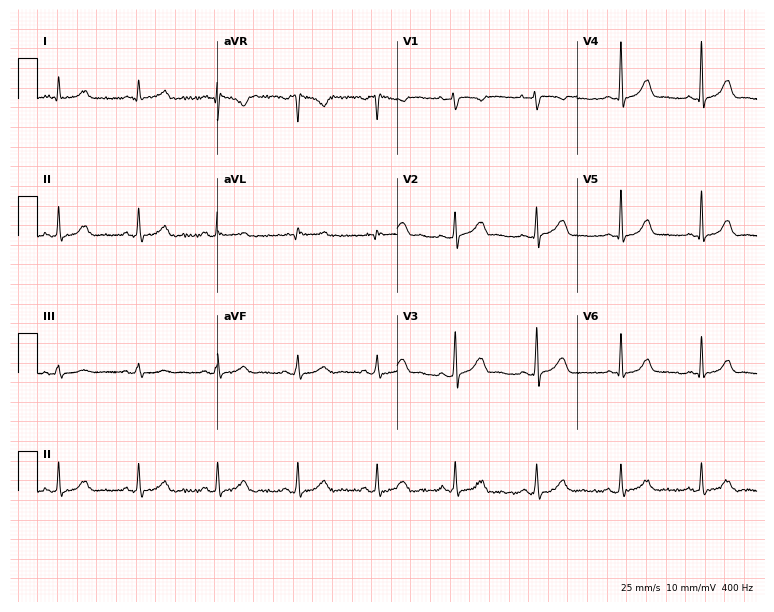
Standard 12-lead ECG recorded from a female, 42 years old (7.3-second recording at 400 Hz). None of these six findings is recorded: first-degree AV block, right bundle branch block, left bundle branch block, sinus bradycardia, atrial fibrillation, sinus tachycardia.